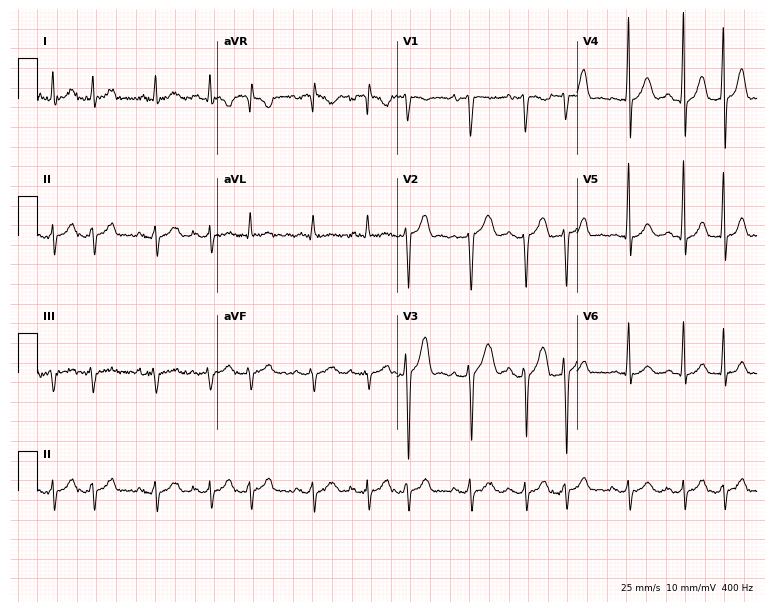
12-lead ECG from a 60-year-old man. Screened for six findings — first-degree AV block, right bundle branch block (RBBB), left bundle branch block (LBBB), sinus bradycardia, atrial fibrillation (AF), sinus tachycardia — none is recorded. Findings outside these six are not listed.